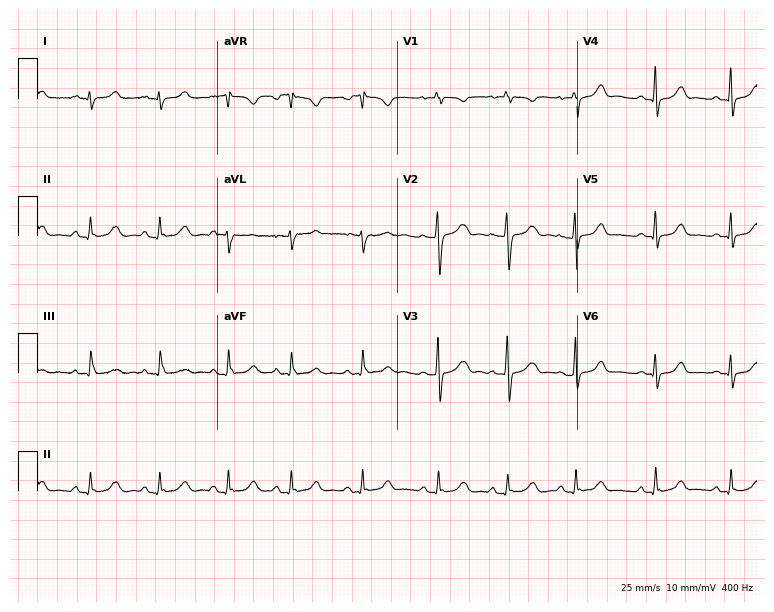
Electrocardiogram, an 18-year-old woman. Overall reading on record: normal ECG.